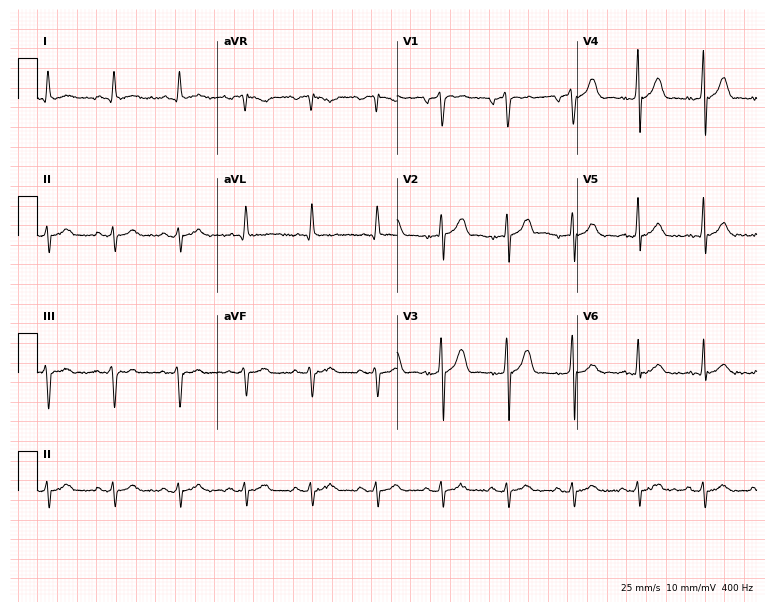
Standard 12-lead ECG recorded from a 65-year-old man (7.3-second recording at 400 Hz). None of these six findings is recorded: first-degree AV block, right bundle branch block, left bundle branch block, sinus bradycardia, atrial fibrillation, sinus tachycardia.